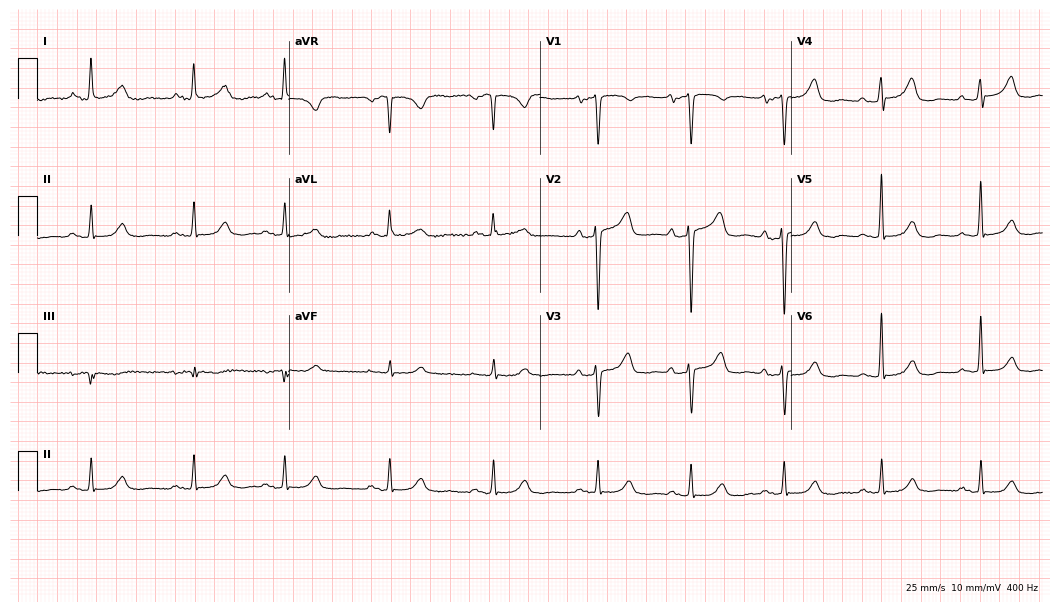
Resting 12-lead electrocardiogram (10.2-second recording at 400 Hz). Patient: an 82-year-old female. None of these six findings is recorded: first-degree AV block, right bundle branch block (RBBB), left bundle branch block (LBBB), sinus bradycardia, atrial fibrillation (AF), sinus tachycardia.